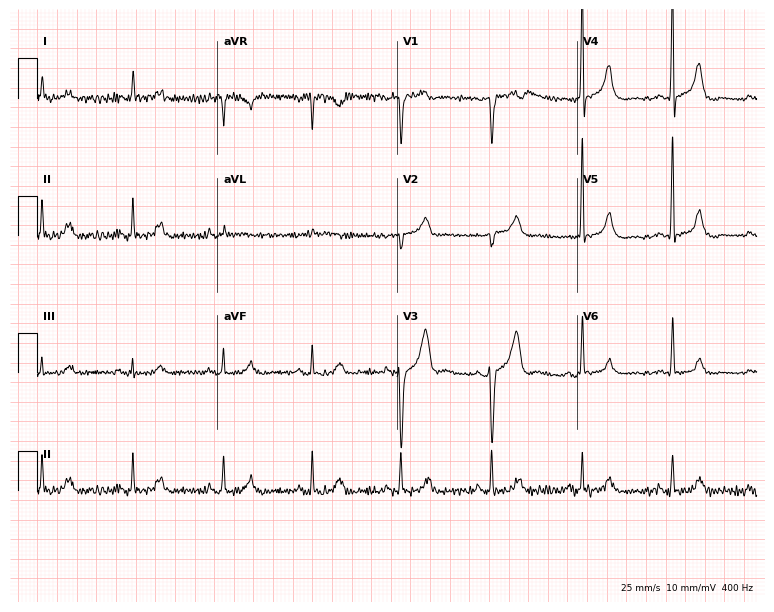
ECG — a 64-year-old male. Labelled as a normal ECG.